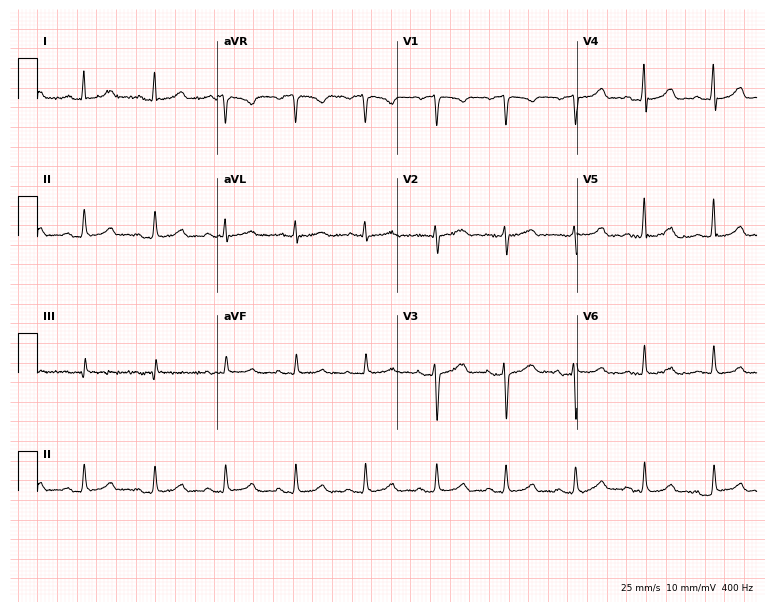
Standard 12-lead ECG recorded from a 41-year-old female (7.3-second recording at 400 Hz). Read as a normal ECG.